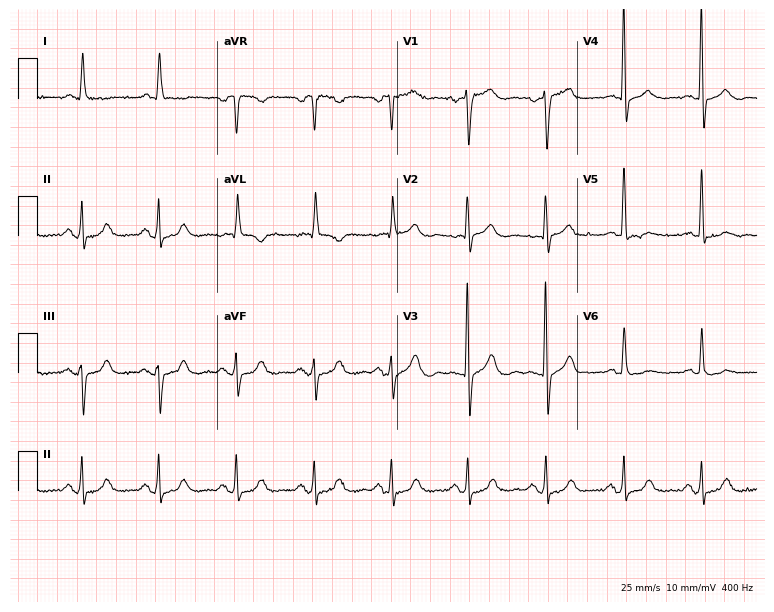
Standard 12-lead ECG recorded from an 85-year-old woman. Read as a normal ECG.